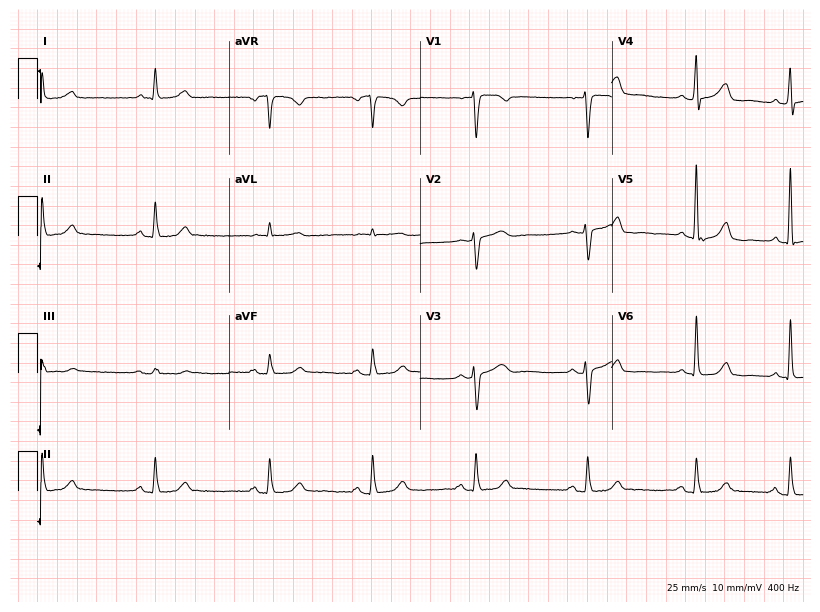
Standard 12-lead ECG recorded from a male patient, 28 years old. Read as a normal ECG.